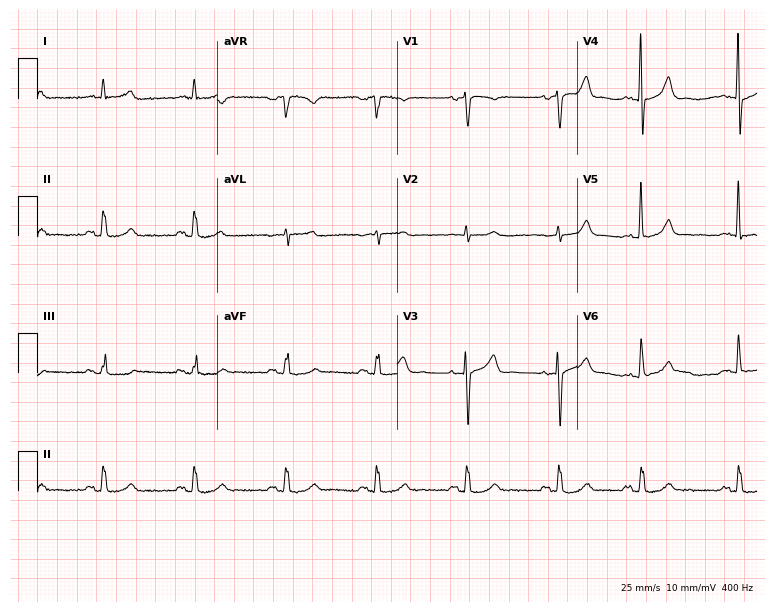
Resting 12-lead electrocardiogram (7.3-second recording at 400 Hz). Patient: a male, 82 years old. Read as a normal ECG.